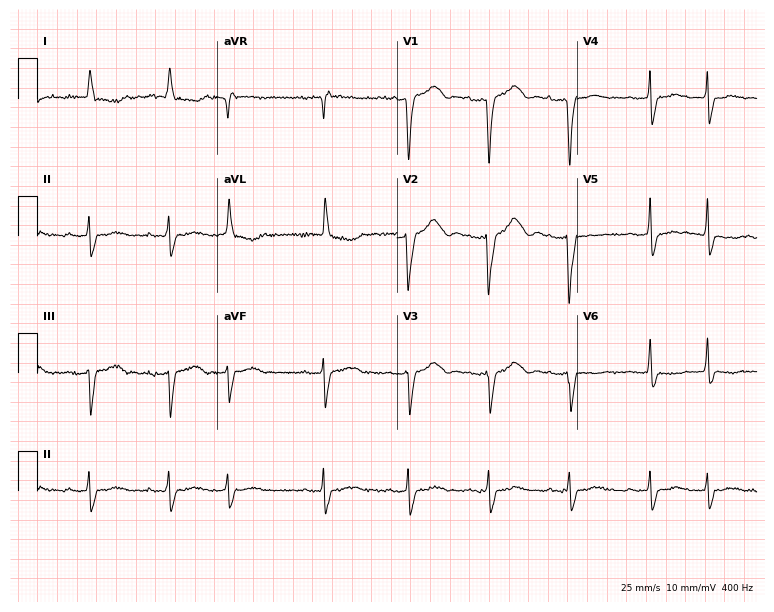
12-lead ECG from an 84-year-old female patient (7.3-second recording at 400 Hz). Shows atrial fibrillation (AF).